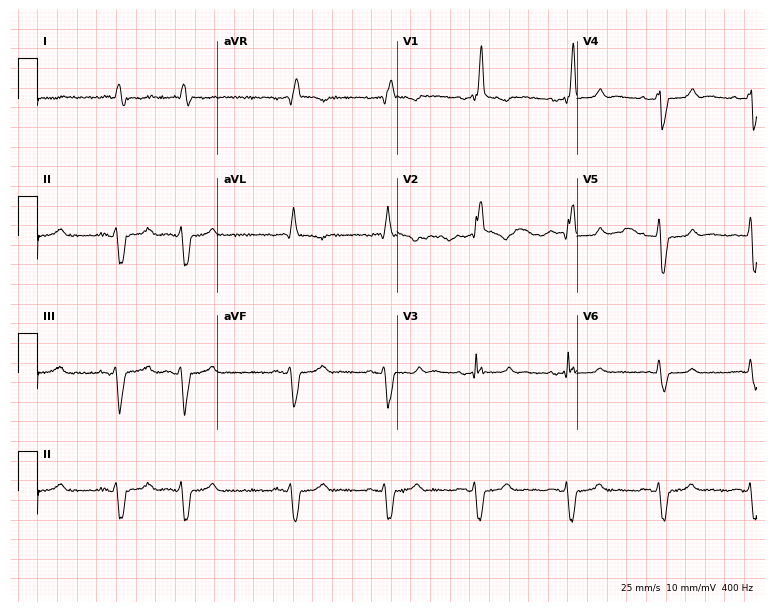
12-lead ECG (7.3-second recording at 400 Hz) from a 79-year-old male patient. Findings include right bundle branch block (RBBB).